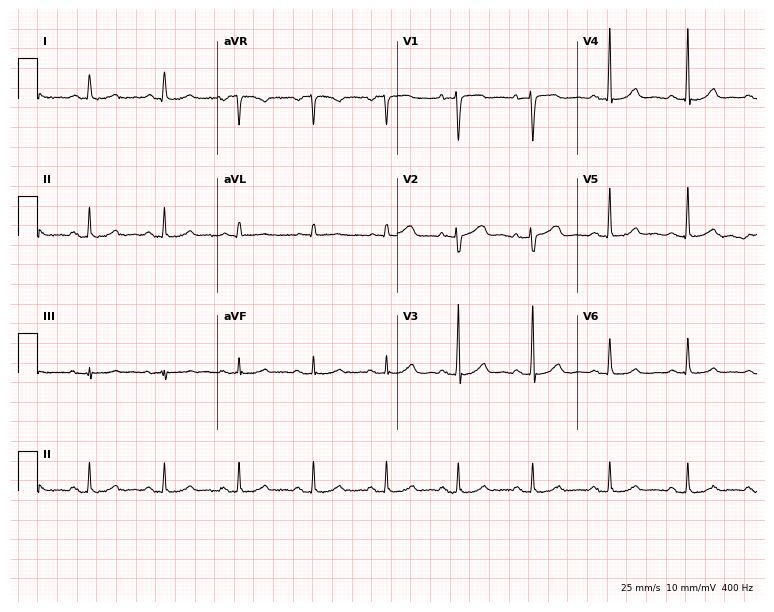
12-lead ECG from a female, 69 years old. Recorded interpretation: within normal limits.